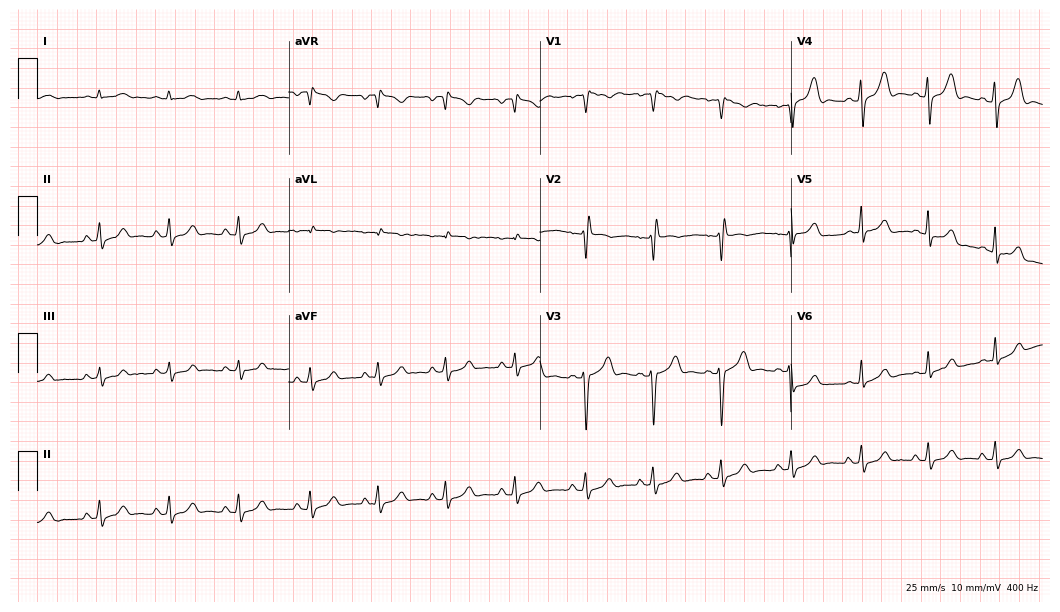
Electrocardiogram, a 23-year-old female patient. Of the six screened findings (first-degree AV block, right bundle branch block, left bundle branch block, sinus bradycardia, atrial fibrillation, sinus tachycardia), none is recorded.